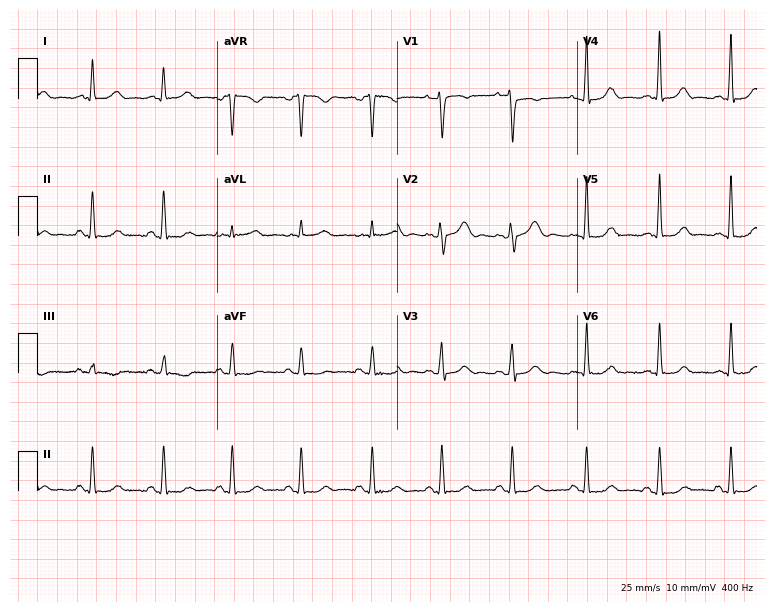
12-lead ECG from a 50-year-old woman. Screened for six findings — first-degree AV block, right bundle branch block, left bundle branch block, sinus bradycardia, atrial fibrillation, sinus tachycardia — none is recorded.